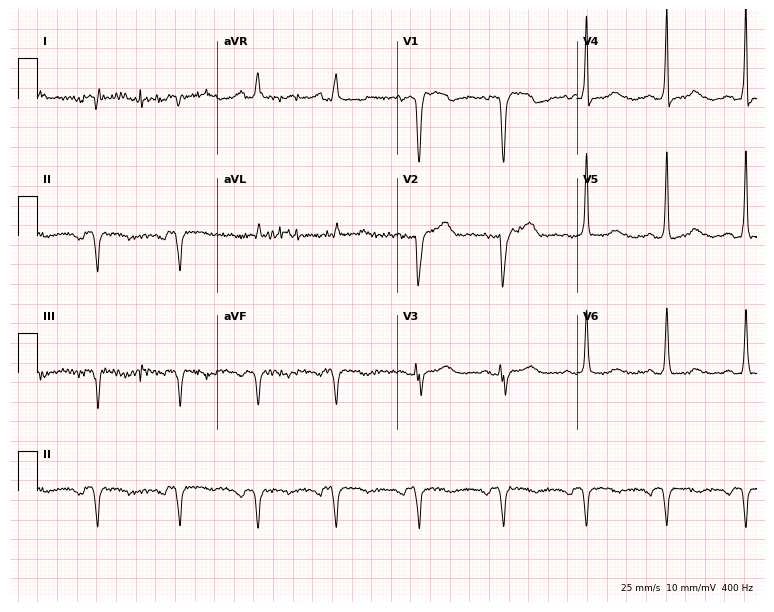
12-lead ECG from a female patient, 81 years old (7.3-second recording at 400 Hz). No first-degree AV block, right bundle branch block, left bundle branch block, sinus bradycardia, atrial fibrillation or sinus tachycardia recorded for this tracing. Findings outside these six are not listed.